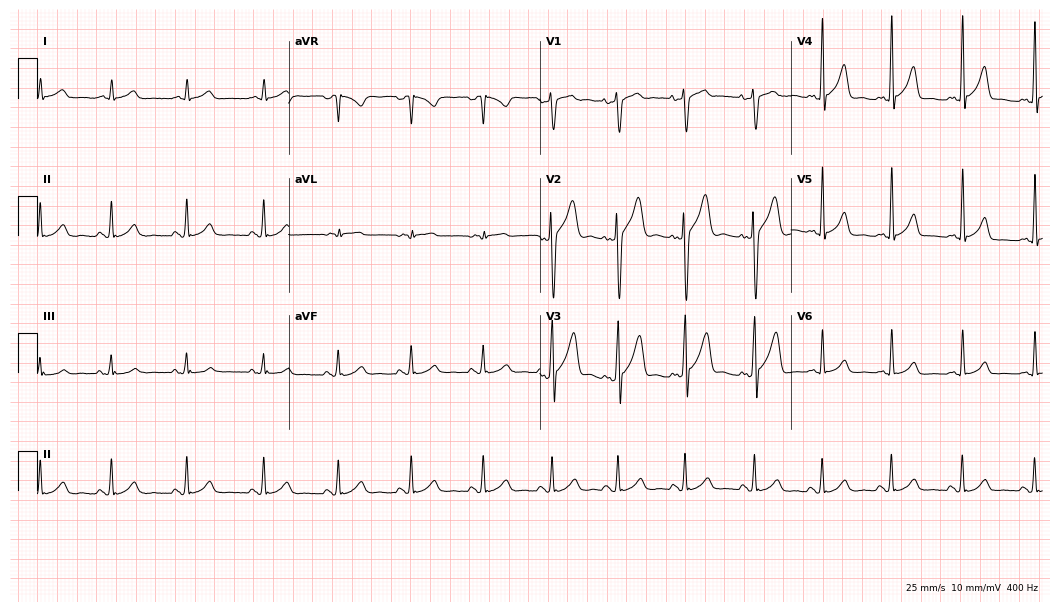
Resting 12-lead electrocardiogram. Patient: a man, 31 years old. Read as a normal ECG.